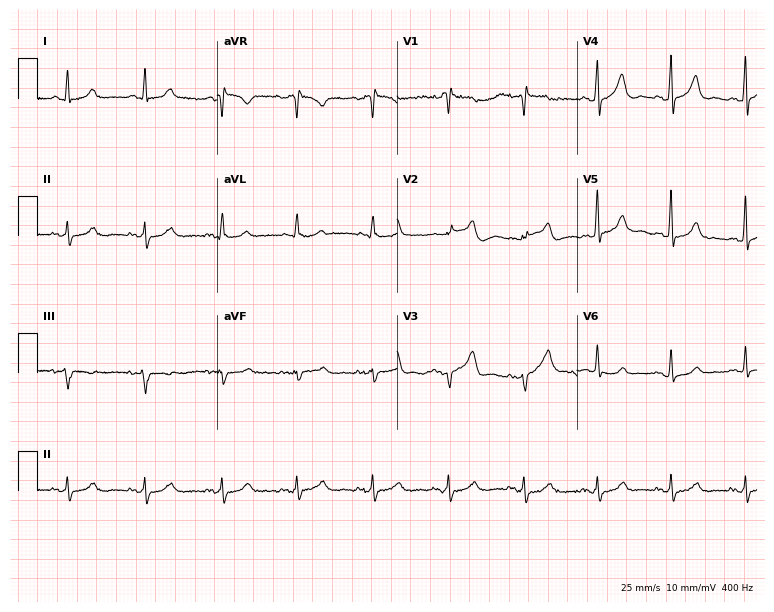
Resting 12-lead electrocardiogram. Patient: a female, 59 years old. None of these six findings is recorded: first-degree AV block, right bundle branch block (RBBB), left bundle branch block (LBBB), sinus bradycardia, atrial fibrillation (AF), sinus tachycardia.